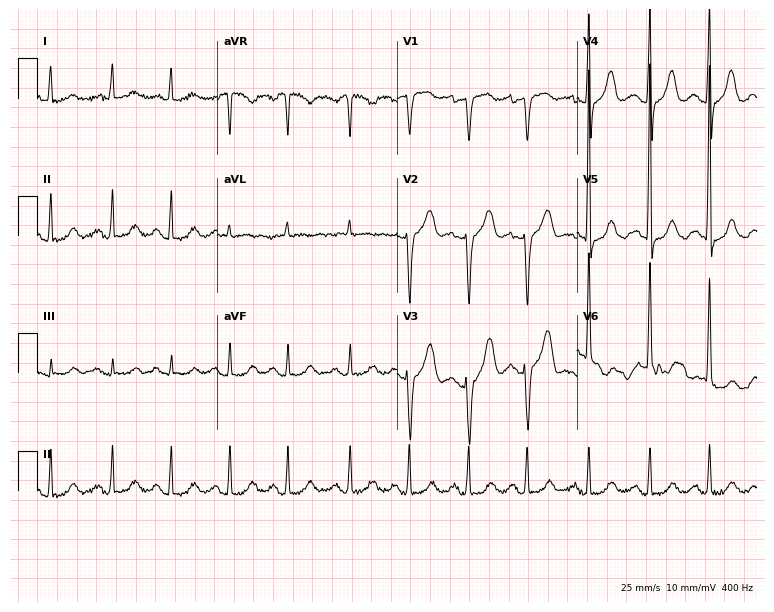
ECG (7.3-second recording at 400 Hz) — a woman, 75 years old. Screened for six findings — first-degree AV block, right bundle branch block, left bundle branch block, sinus bradycardia, atrial fibrillation, sinus tachycardia — none is recorded.